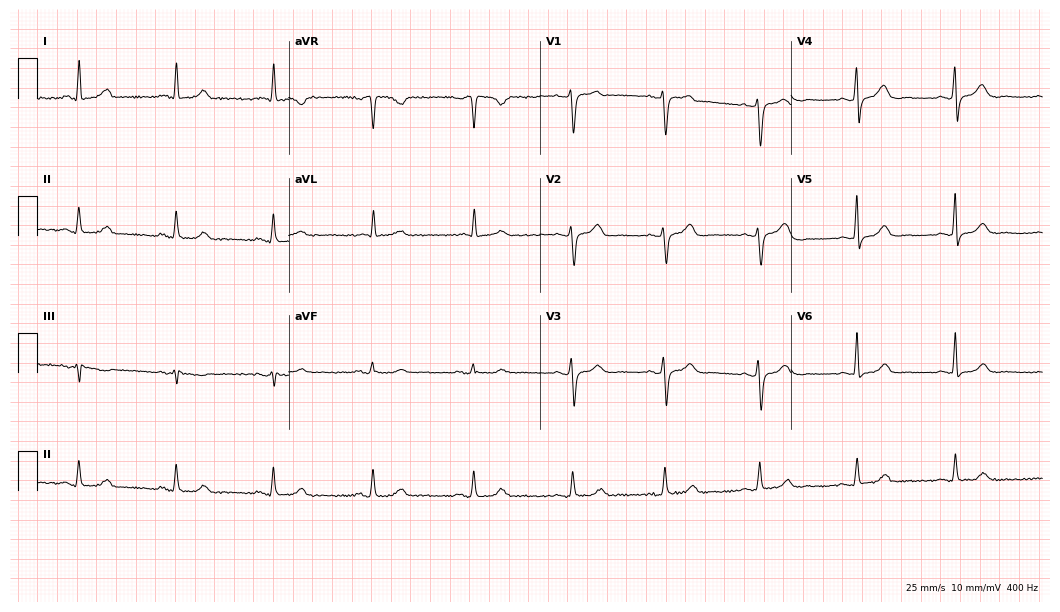
12-lead ECG (10.2-second recording at 400 Hz) from a female patient, 46 years old. Labelled as a normal ECG.